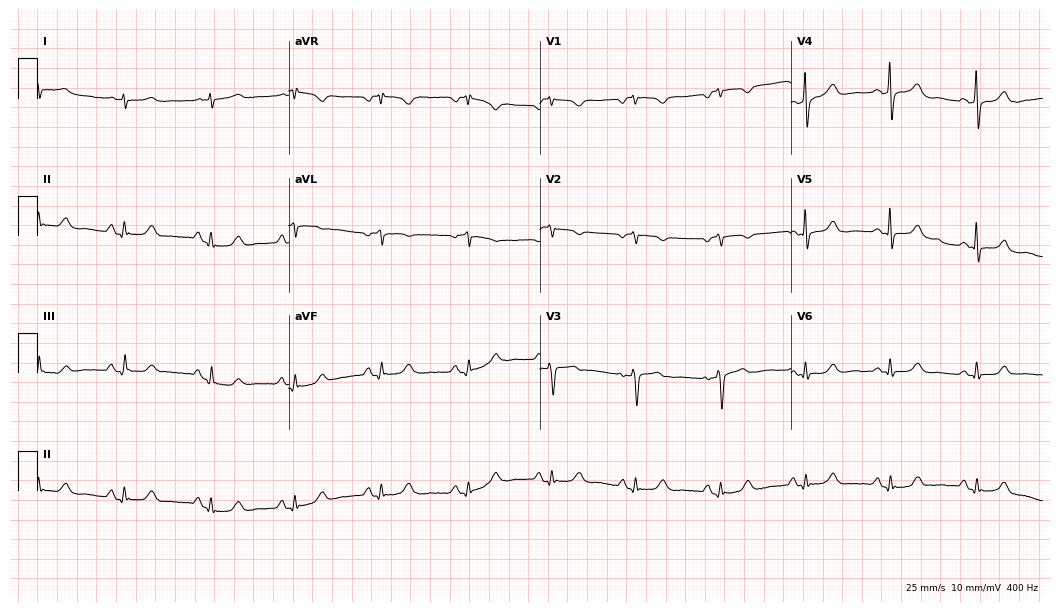
12-lead ECG from a female, 73 years old. No first-degree AV block, right bundle branch block, left bundle branch block, sinus bradycardia, atrial fibrillation or sinus tachycardia recorded for this tracing. Only these six findings were labelled.